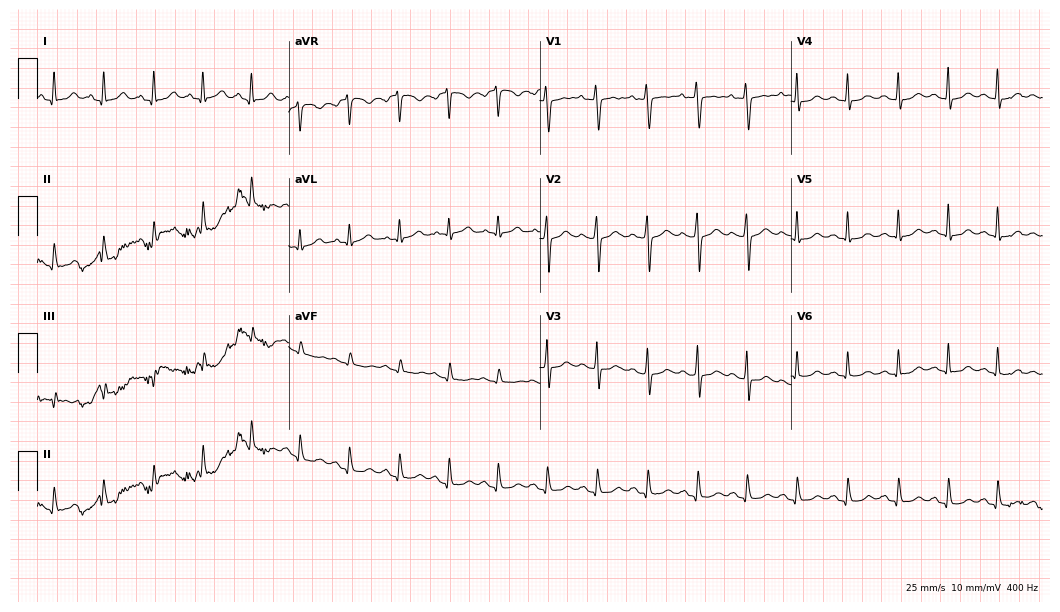
Electrocardiogram (10.2-second recording at 400 Hz), a woman, 28 years old. Of the six screened findings (first-degree AV block, right bundle branch block, left bundle branch block, sinus bradycardia, atrial fibrillation, sinus tachycardia), none is recorded. Only these six findings were labelled.